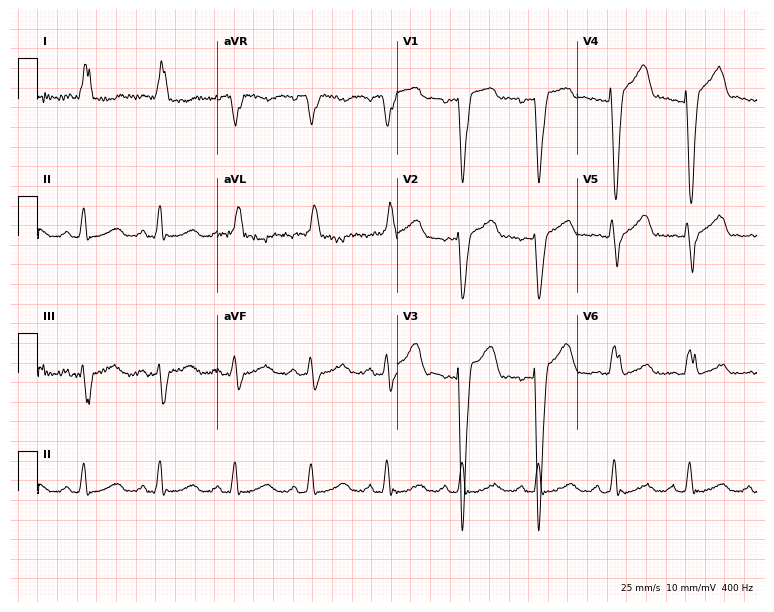
Electrocardiogram (7.3-second recording at 400 Hz), a 78-year-old woman. Interpretation includes left bundle branch block.